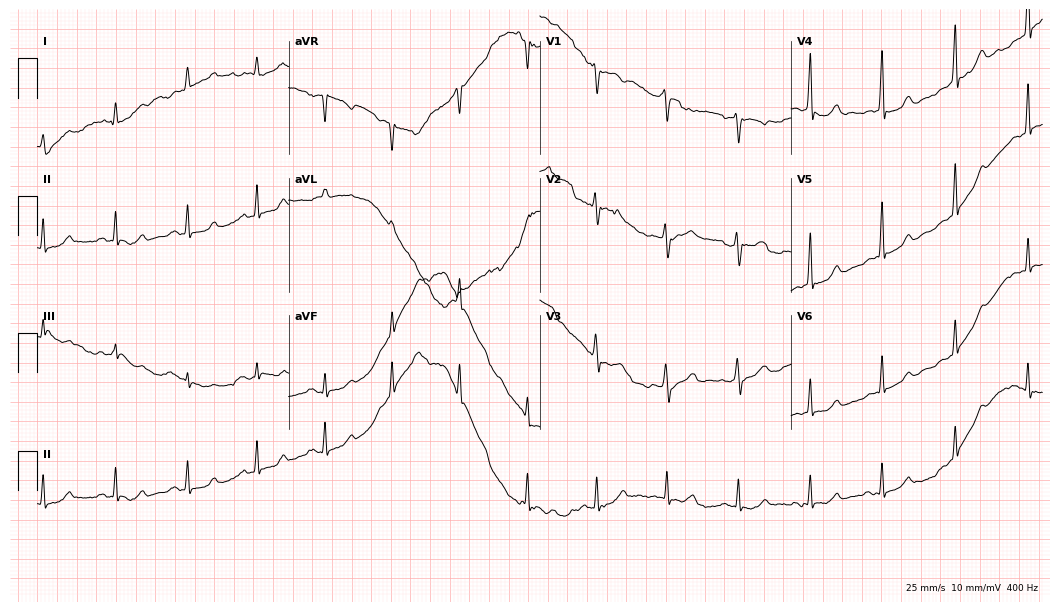
Standard 12-lead ECG recorded from a 52-year-old female patient (10.2-second recording at 400 Hz). None of these six findings is recorded: first-degree AV block, right bundle branch block, left bundle branch block, sinus bradycardia, atrial fibrillation, sinus tachycardia.